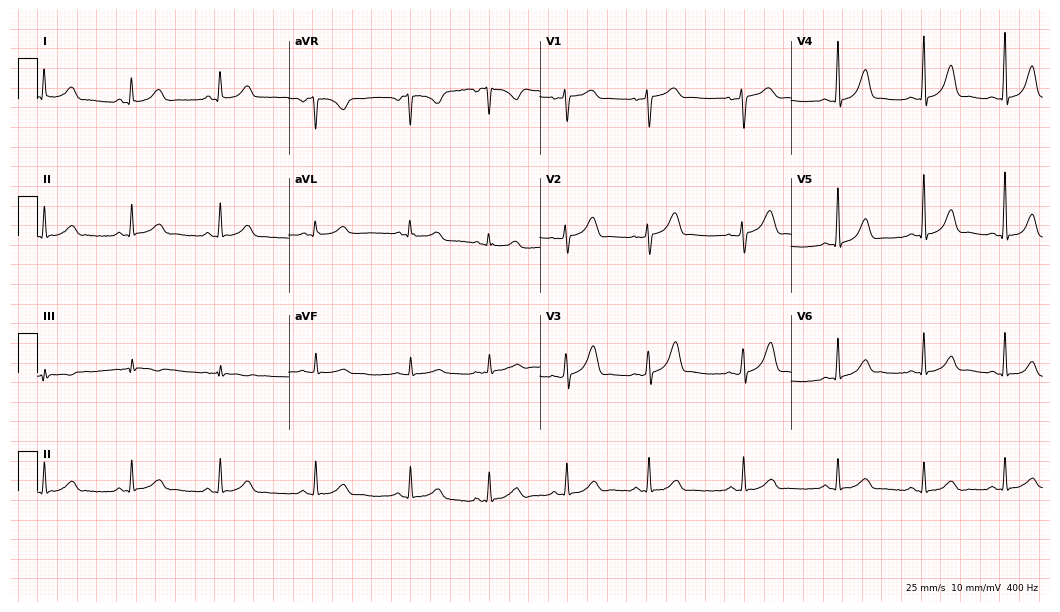
12-lead ECG from a female patient, 46 years old. Screened for six findings — first-degree AV block, right bundle branch block (RBBB), left bundle branch block (LBBB), sinus bradycardia, atrial fibrillation (AF), sinus tachycardia — none is recorded. Other findings, if any, are not listed.